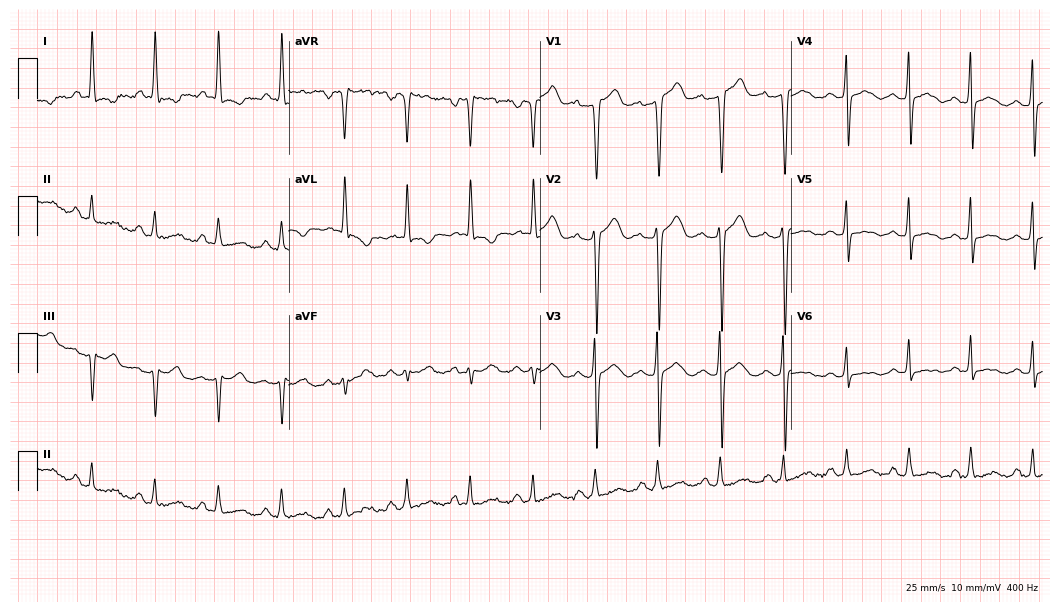
12-lead ECG (10.2-second recording at 400 Hz) from a 48-year-old female patient. Screened for six findings — first-degree AV block, right bundle branch block, left bundle branch block, sinus bradycardia, atrial fibrillation, sinus tachycardia — none is recorded. Findings outside these six are not listed.